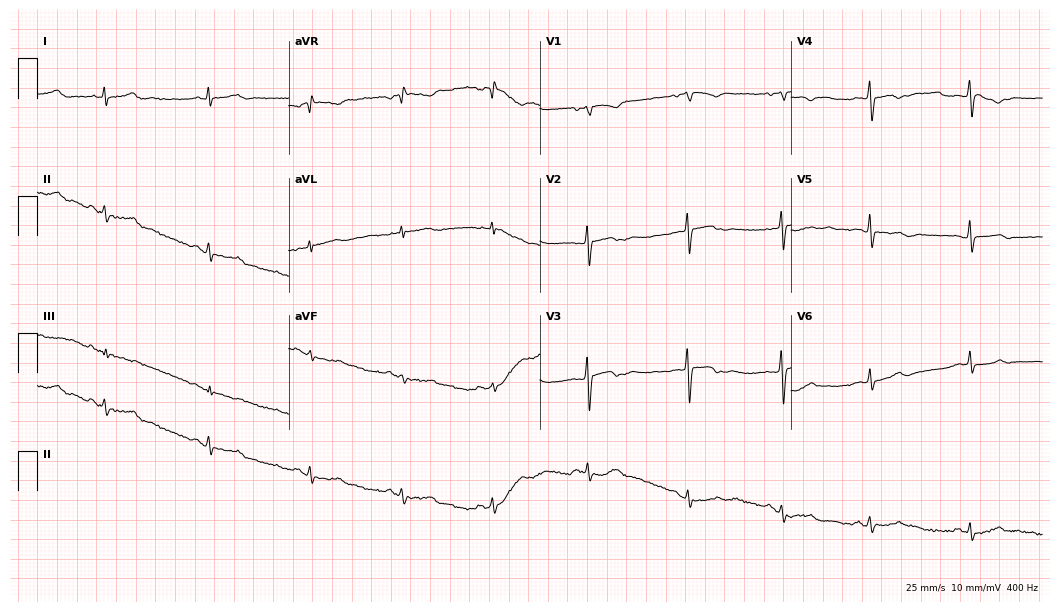
12-lead ECG from a female patient, 26 years old. Screened for six findings — first-degree AV block, right bundle branch block, left bundle branch block, sinus bradycardia, atrial fibrillation, sinus tachycardia — none is recorded. Only these six findings were labelled.